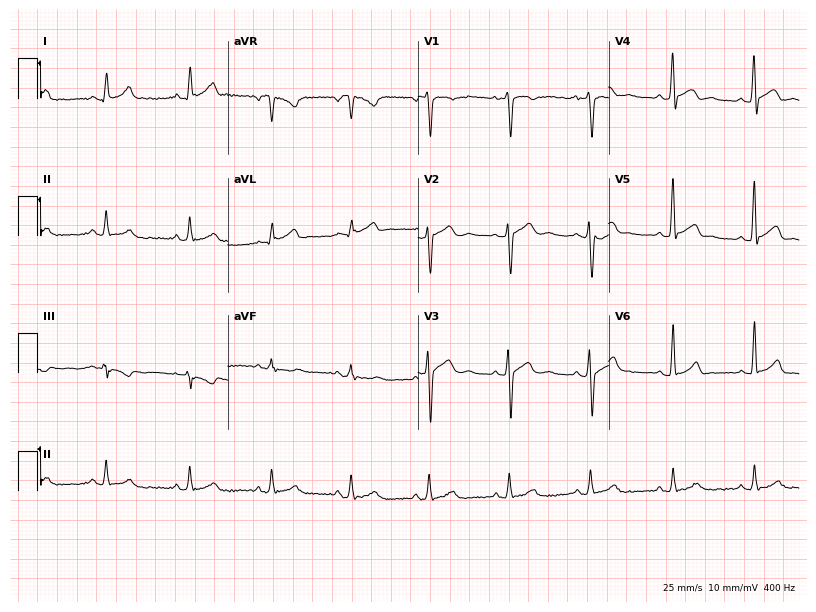
Resting 12-lead electrocardiogram (7.8-second recording at 400 Hz). Patient: a 20-year-old male. Read as a normal ECG.